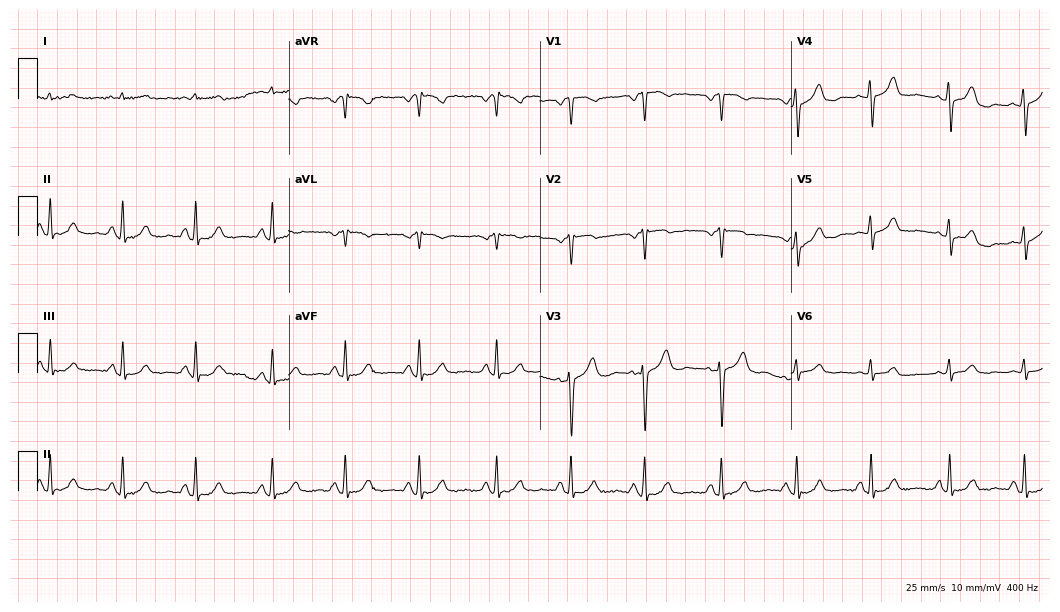
12-lead ECG from a 71-year-old female patient. Screened for six findings — first-degree AV block, right bundle branch block, left bundle branch block, sinus bradycardia, atrial fibrillation, sinus tachycardia — none is recorded.